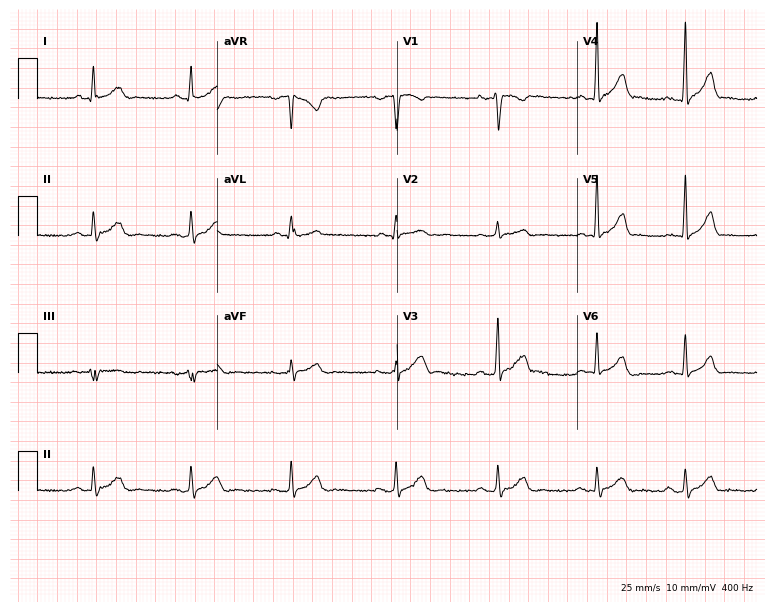
Electrocardiogram, a 28-year-old man. Overall reading on record: normal ECG.